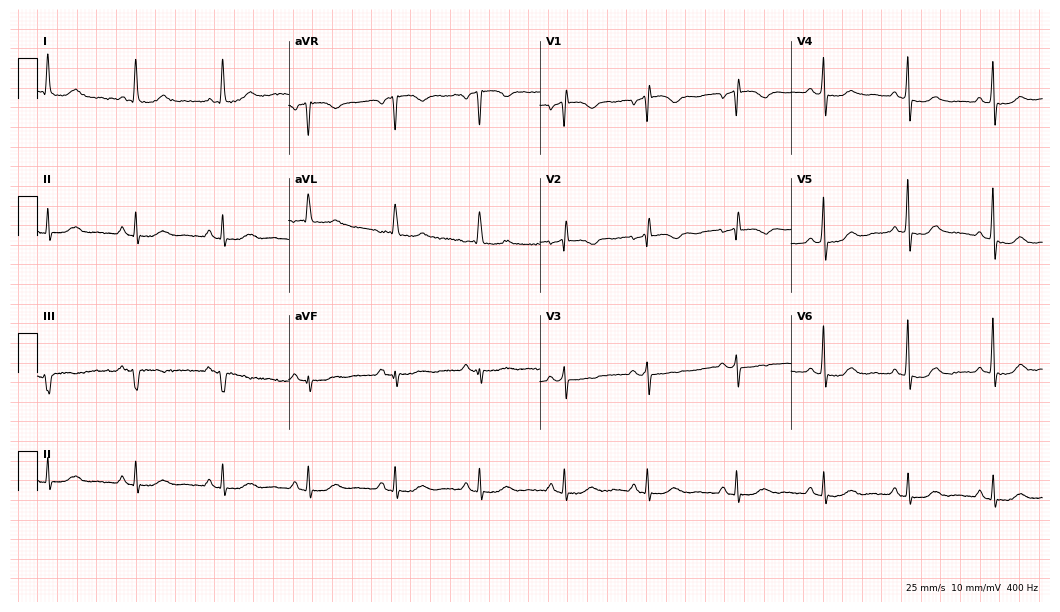
Standard 12-lead ECG recorded from a 78-year-old woman (10.2-second recording at 400 Hz). None of these six findings is recorded: first-degree AV block, right bundle branch block (RBBB), left bundle branch block (LBBB), sinus bradycardia, atrial fibrillation (AF), sinus tachycardia.